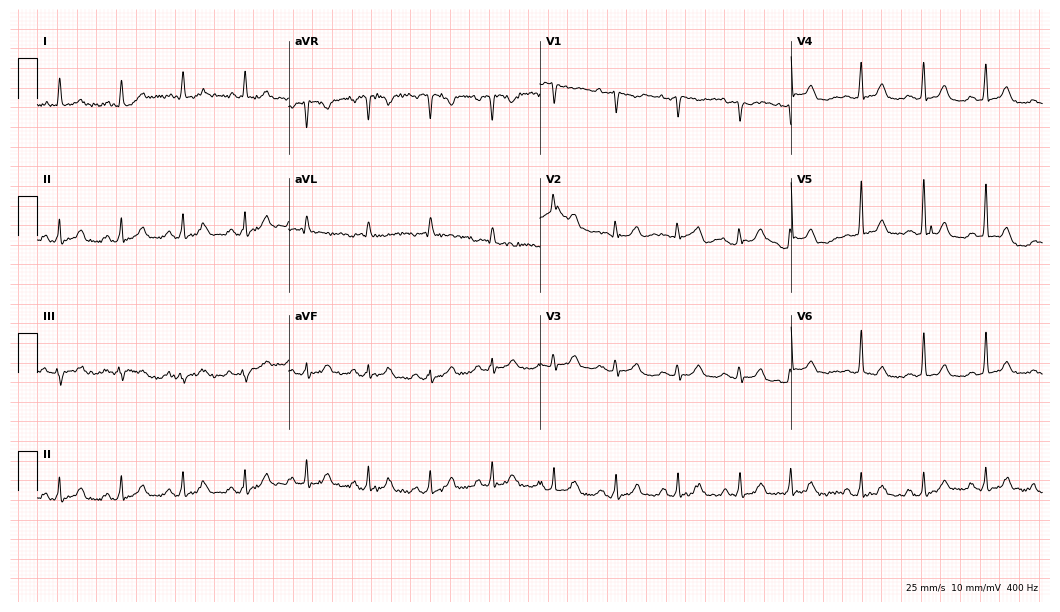
12-lead ECG from an 80-year-old woman. Recorded interpretation: within normal limits.